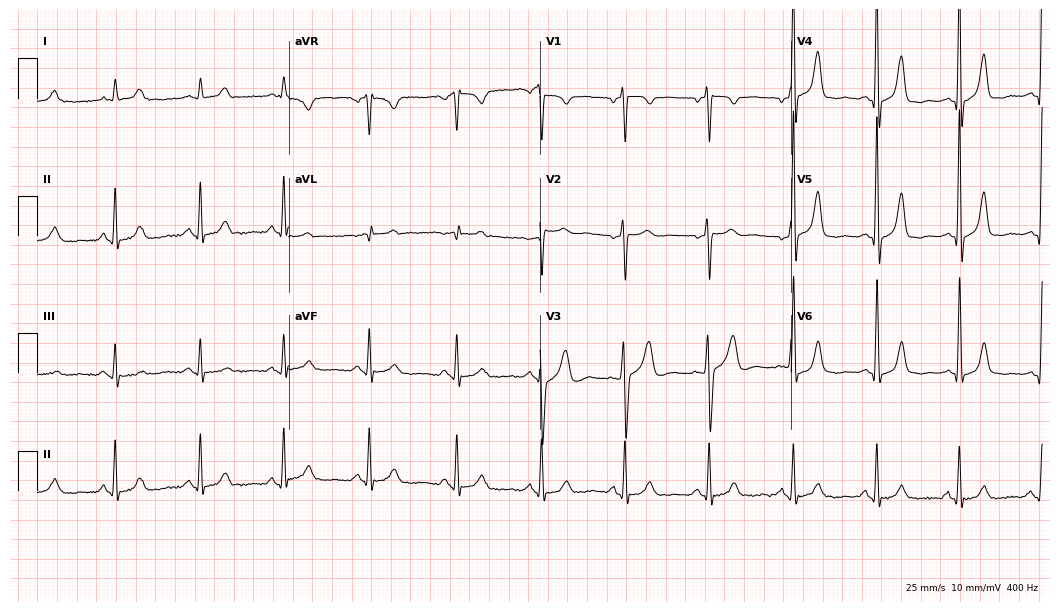
12-lead ECG from a male, 69 years old. No first-degree AV block, right bundle branch block, left bundle branch block, sinus bradycardia, atrial fibrillation or sinus tachycardia recorded for this tracing. Only these six findings were labelled.